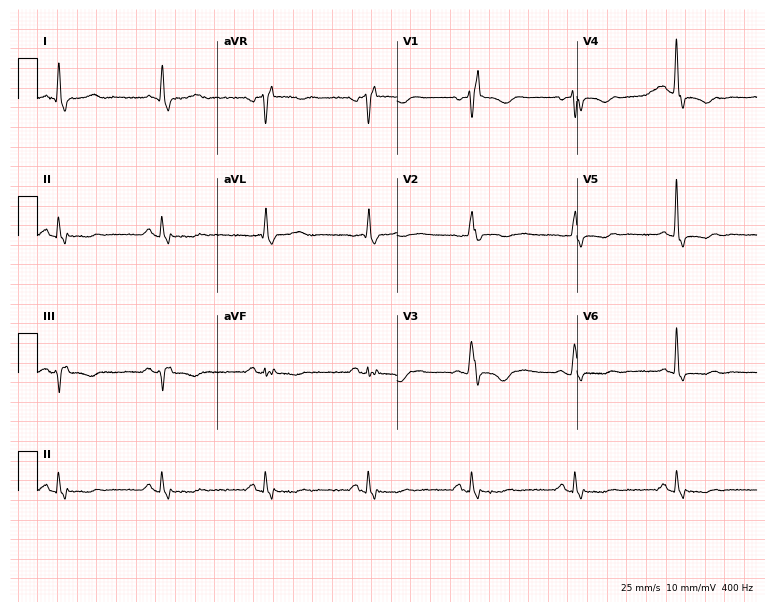
Standard 12-lead ECG recorded from a 76-year-old female patient. The tracing shows right bundle branch block.